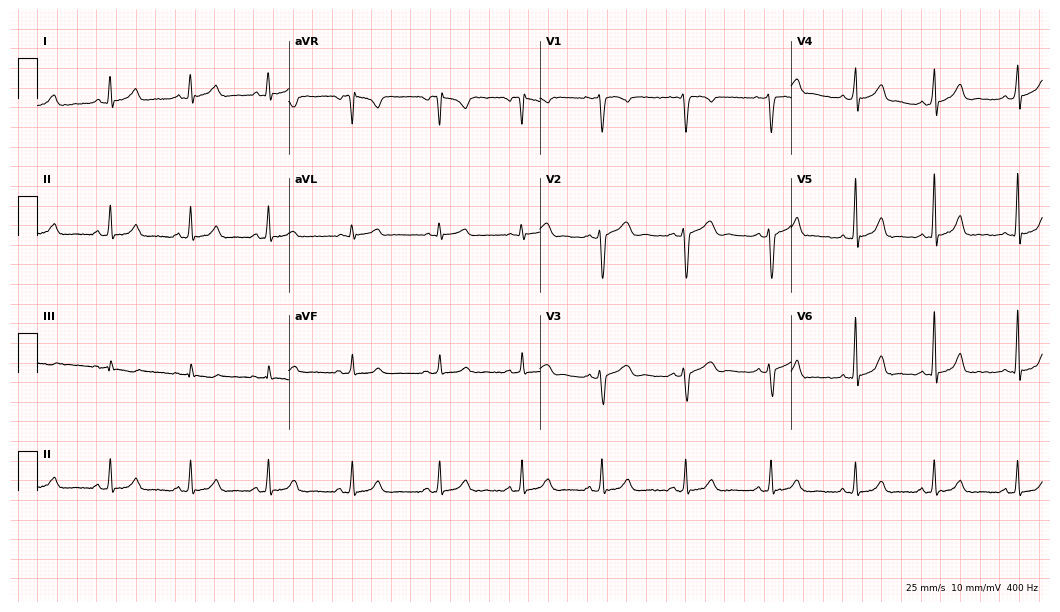
Resting 12-lead electrocardiogram. Patient: a 29-year-old female. Read as a normal ECG.